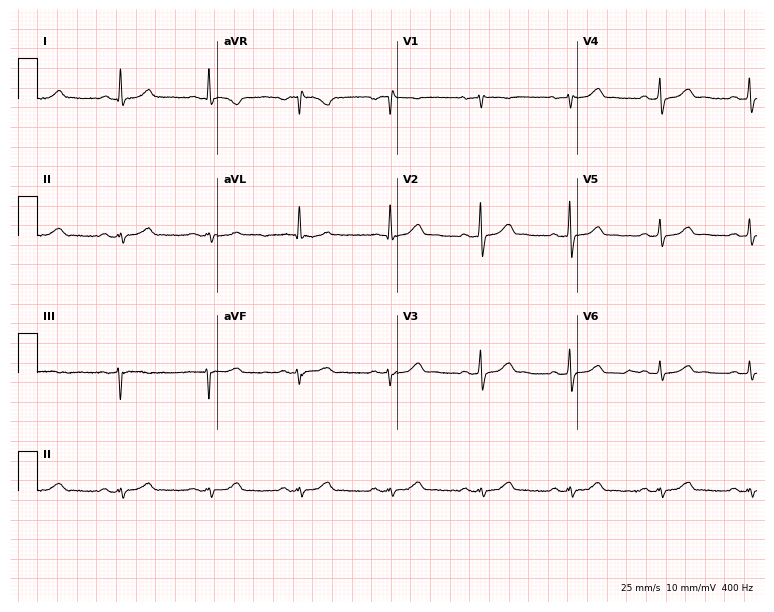
12-lead ECG from a male, 58 years old. Screened for six findings — first-degree AV block, right bundle branch block, left bundle branch block, sinus bradycardia, atrial fibrillation, sinus tachycardia — none is recorded.